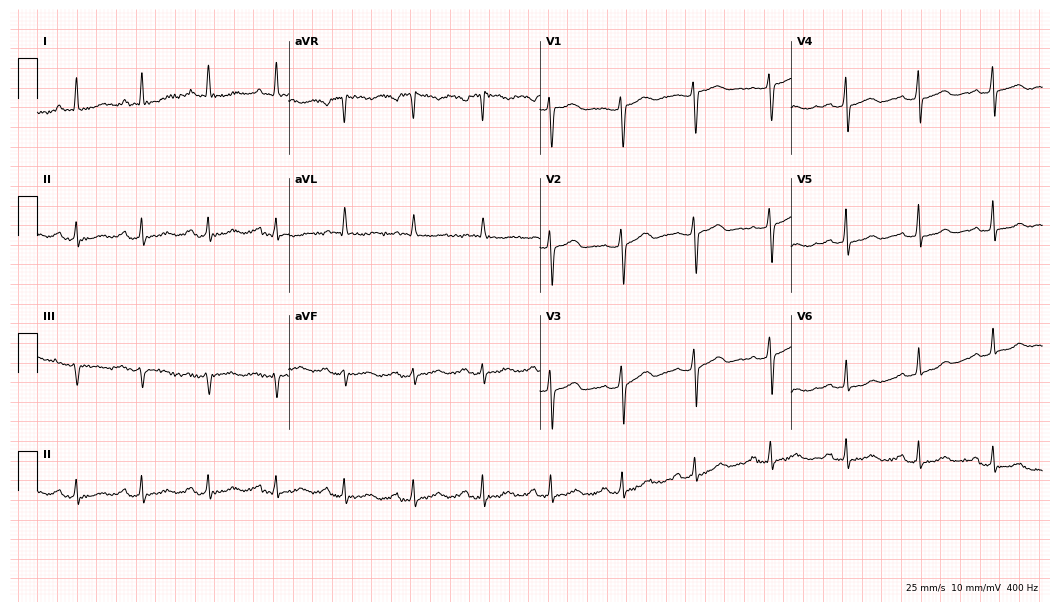
Resting 12-lead electrocardiogram (10.2-second recording at 400 Hz). Patient: a 66-year-old woman. Read as a normal ECG.